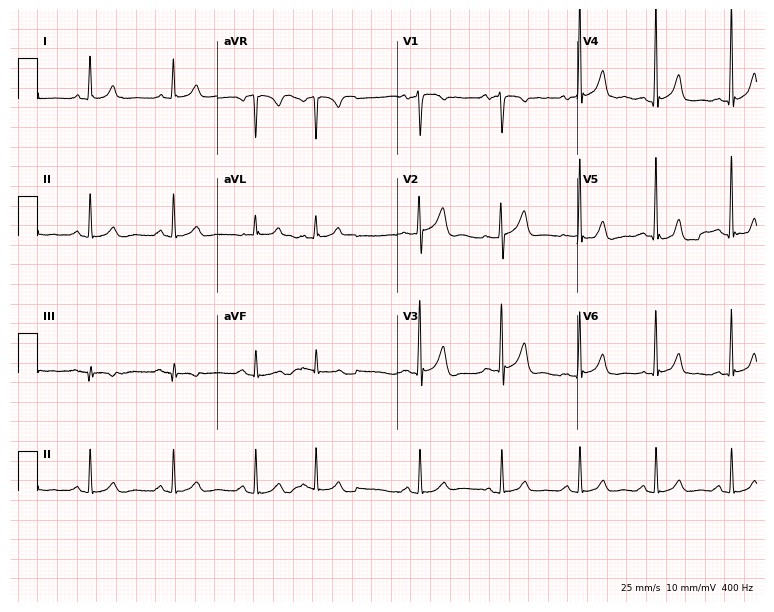
Resting 12-lead electrocardiogram. Patient: a 52-year-old male. Read as a normal ECG.